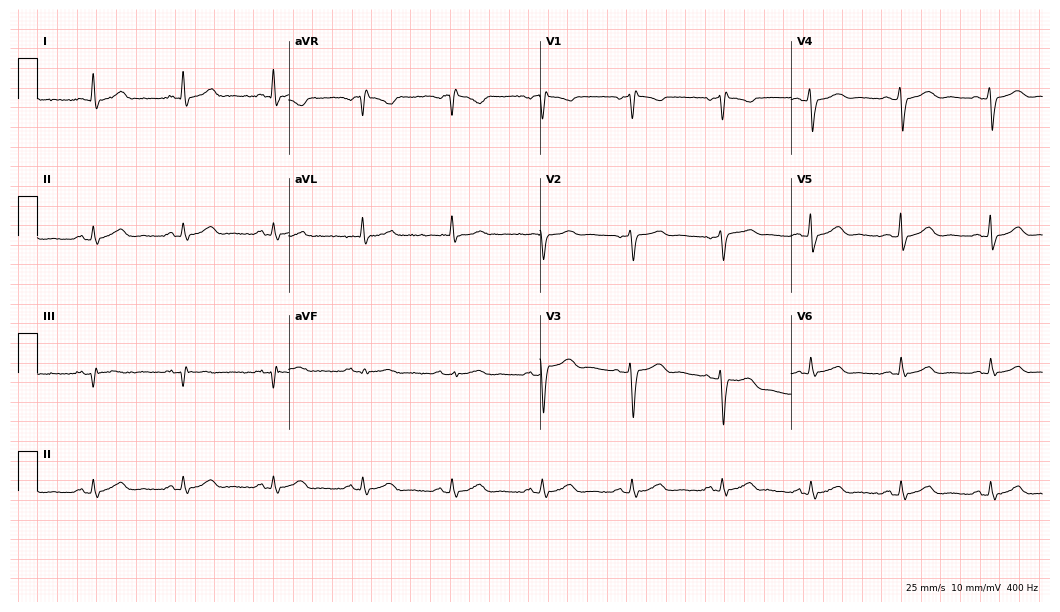
Resting 12-lead electrocardiogram. Patient: a woman, 52 years old. None of these six findings is recorded: first-degree AV block, right bundle branch block, left bundle branch block, sinus bradycardia, atrial fibrillation, sinus tachycardia. Findings outside these six are not listed.